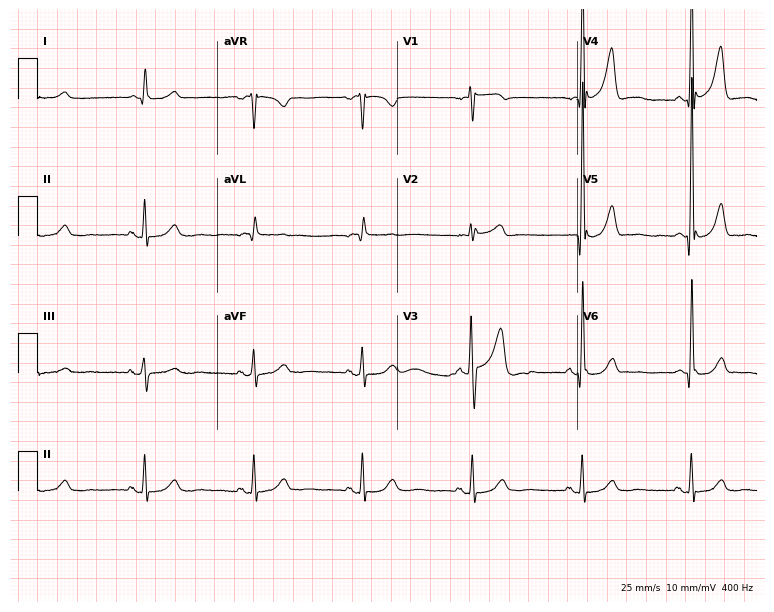
12-lead ECG from a 67-year-old man. No first-degree AV block, right bundle branch block, left bundle branch block, sinus bradycardia, atrial fibrillation or sinus tachycardia recorded for this tracing.